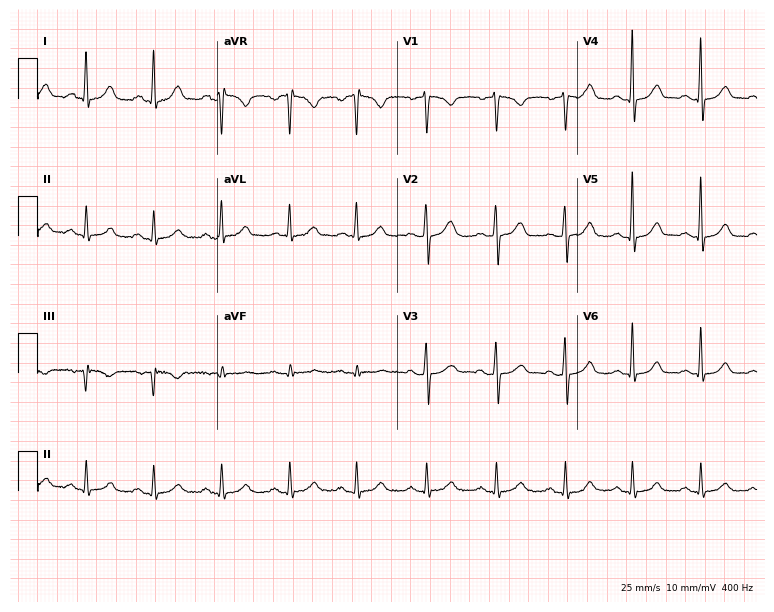
12-lead ECG (7.3-second recording at 400 Hz) from a 43-year-old female patient. Screened for six findings — first-degree AV block, right bundle branch block (RBBB), left bundle branch block (LBBB), sinus bradycardia, atrial fibrillation (AF), sinus tachycardia — none is recorded.